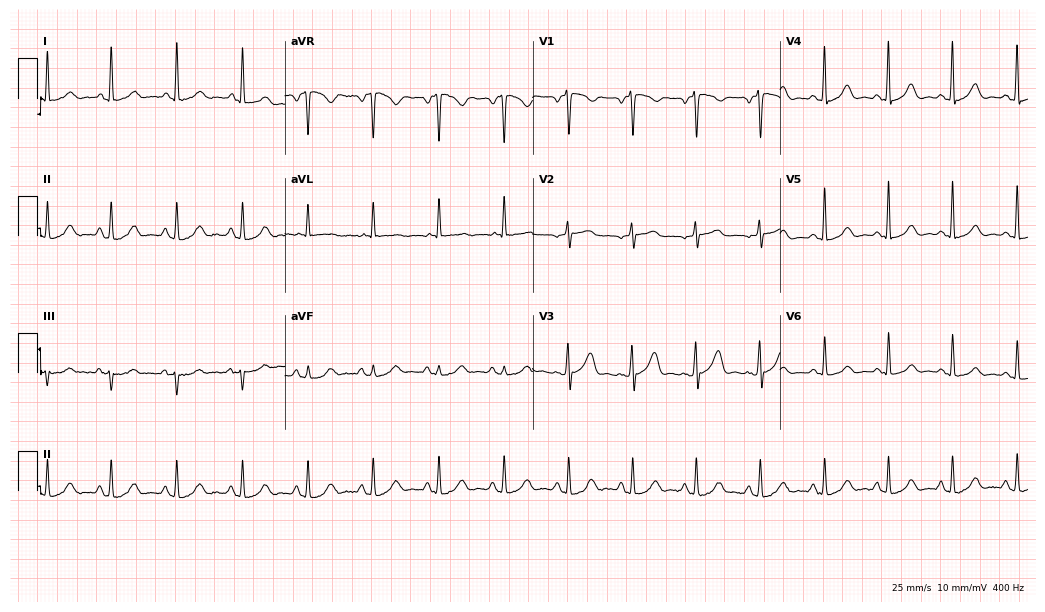
ECG — a 68-year-old female. Screened for six findings — first-degree AV block, right bundle branch block, left bundle branch block, sinus bradycardia, atrial fibrillation, sinus tachycardia — none is recorded. Findings outside these six are not listed.